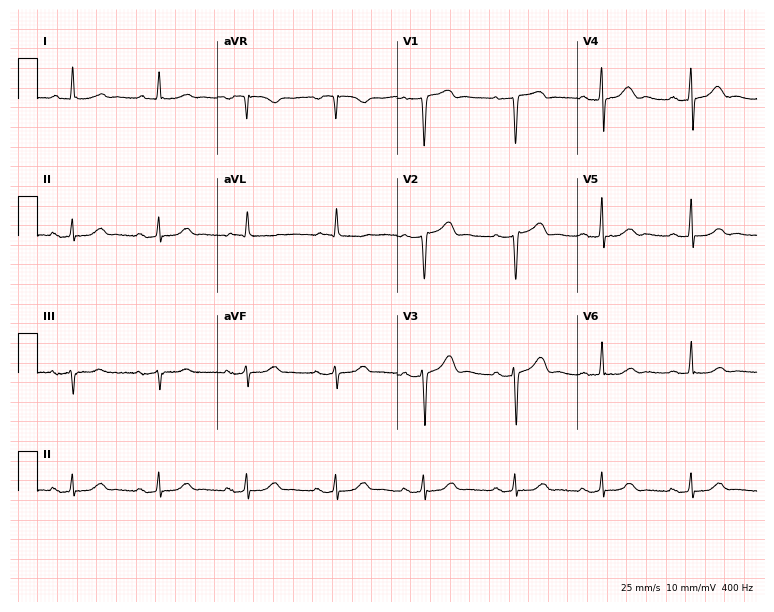
12-lead ECG from a female, 69 years old (7.3-second recording at 400 Hz). No first-degree AV block, right bundle branch block (RBBB), left bundle branch block (LBBB), sinus bradycardia, atrial fibrillation (AF) or sinus tachycardia recorded for this tracing.